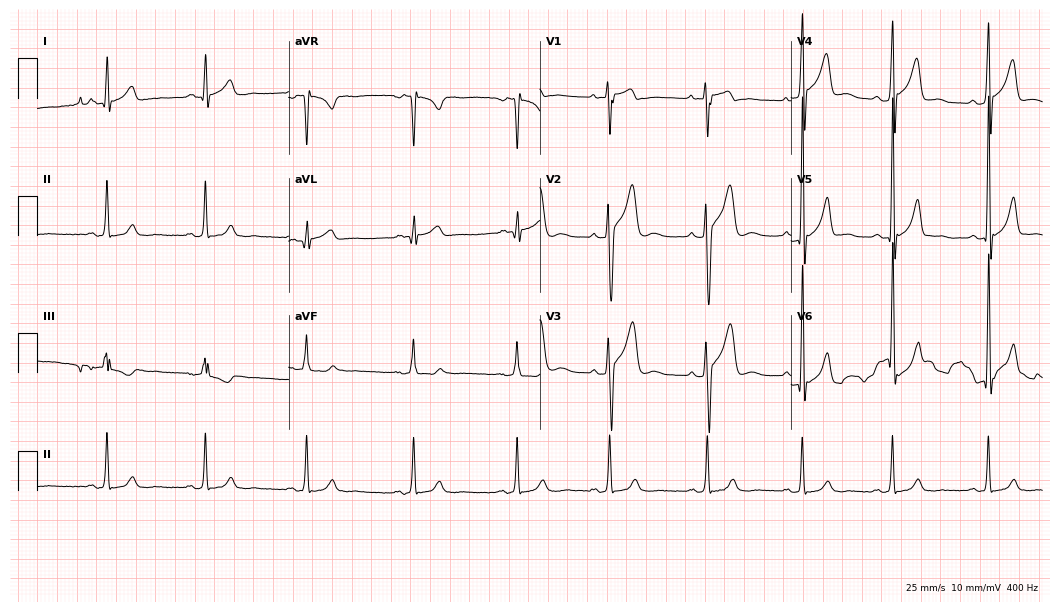
ECG (10.2-second recording at 400 Hz) — a male patient, 20 years old. Labelled as a normal ECG.